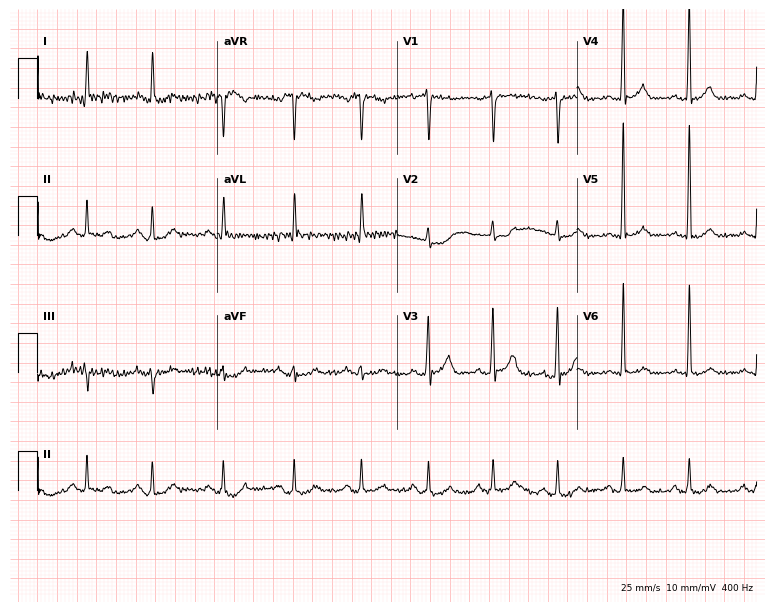
Standard 12-lead ECG recorded from a male, 51 years old (7.3-second recording at 400 Hz). None of these six findings is recorded: first-degree AV block, right bundle branch block, left bundle branch block, sinus bradycardia, atrial fibrillation, sinus tachycardia. Findings outside these six are not listed.